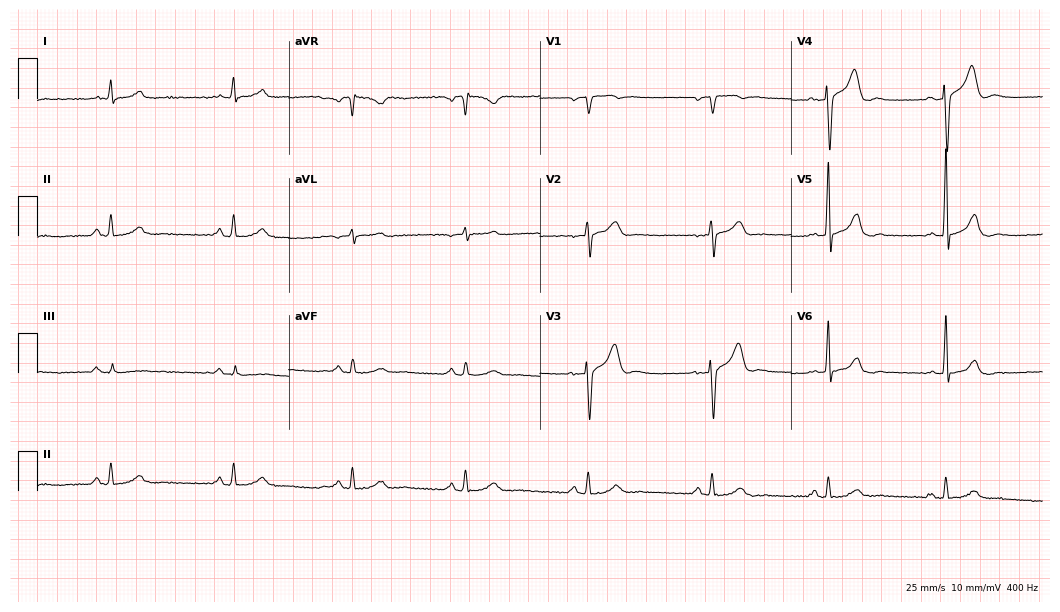
Electrocardiogram (10.2-second recording at 400 Hz), a man, 58 years old. Overall reading on record: normal ECG.